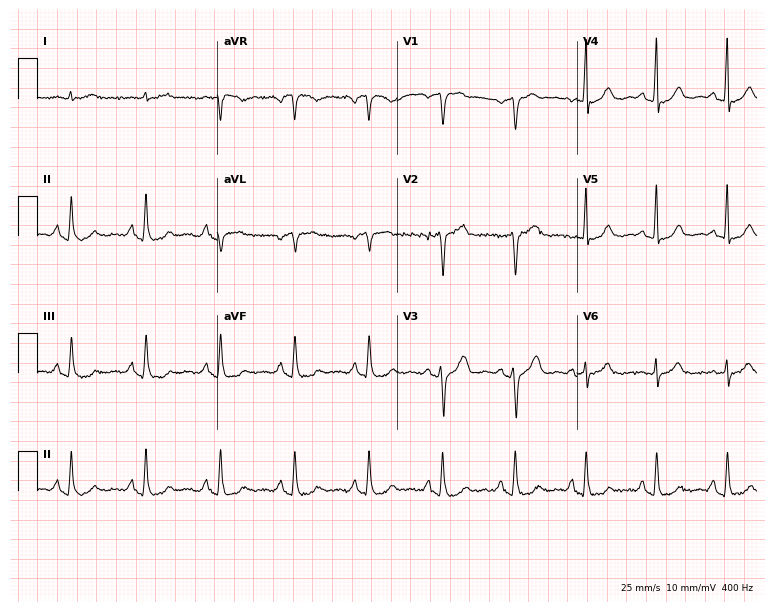
Standard 12-lead ECG recorded from a male, 71 years old. None of these six findings is recorded: first-degree AV block, right bundle branch block (RBBB), left bundle branch block (LBBB), sinus bradycardia, atrial fibrillation (AF), sinus tachycardia.